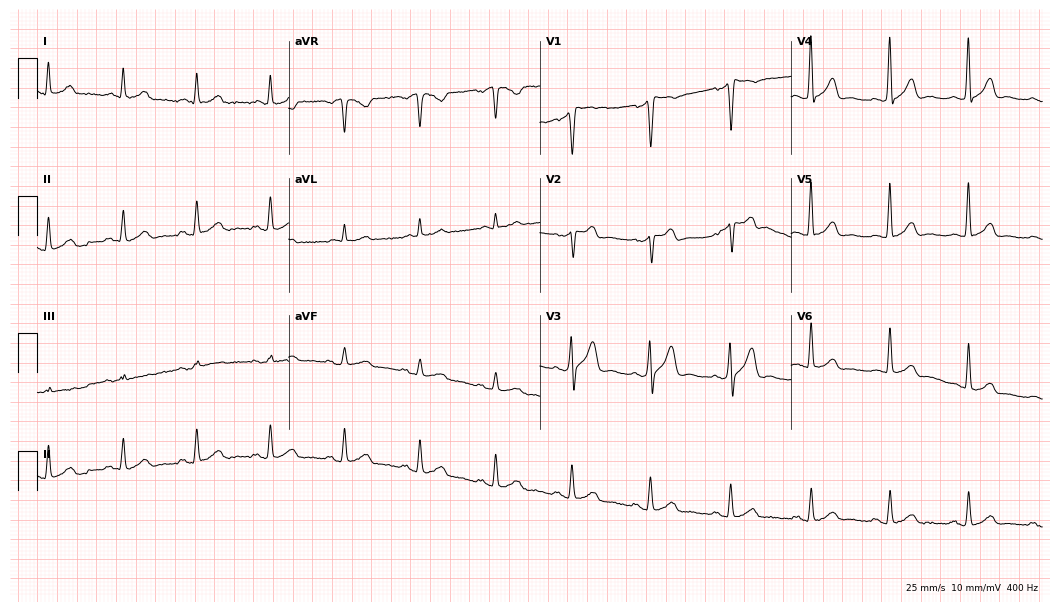
Resting 12-lead electrocardiogram. Patient: a 47-year-old male. Read as a normal ECG.